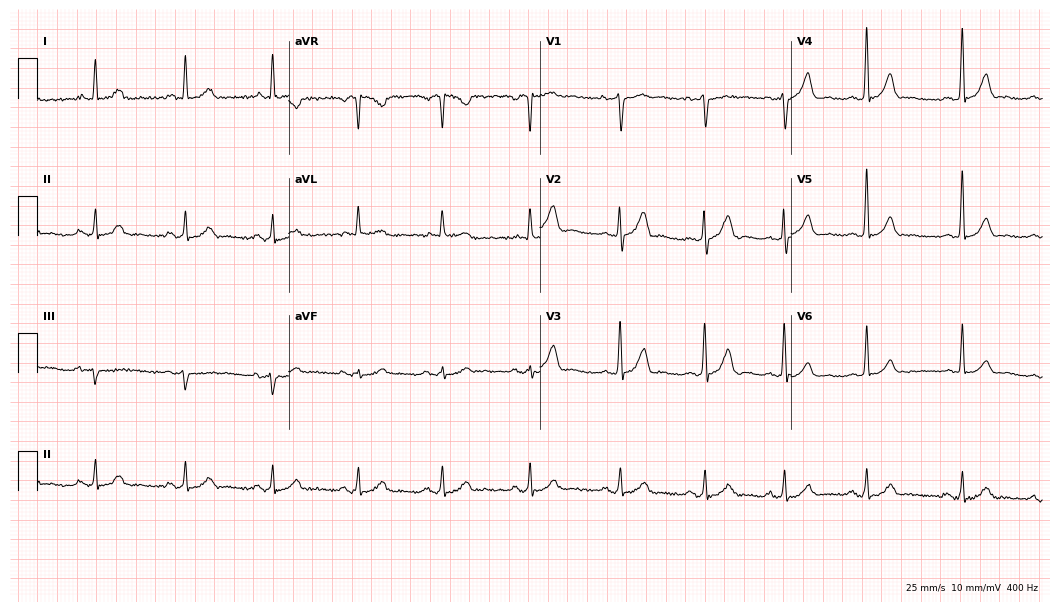
12-lead ECG (10.2-second recording at 400 Hz) from a 54-year-old man. Screened for six findings — first-degree AV block, right bundle branch block, left bundle branch block, sinus bradycardia, atrial fibrillation, sinus tachycardia — none is recorded.